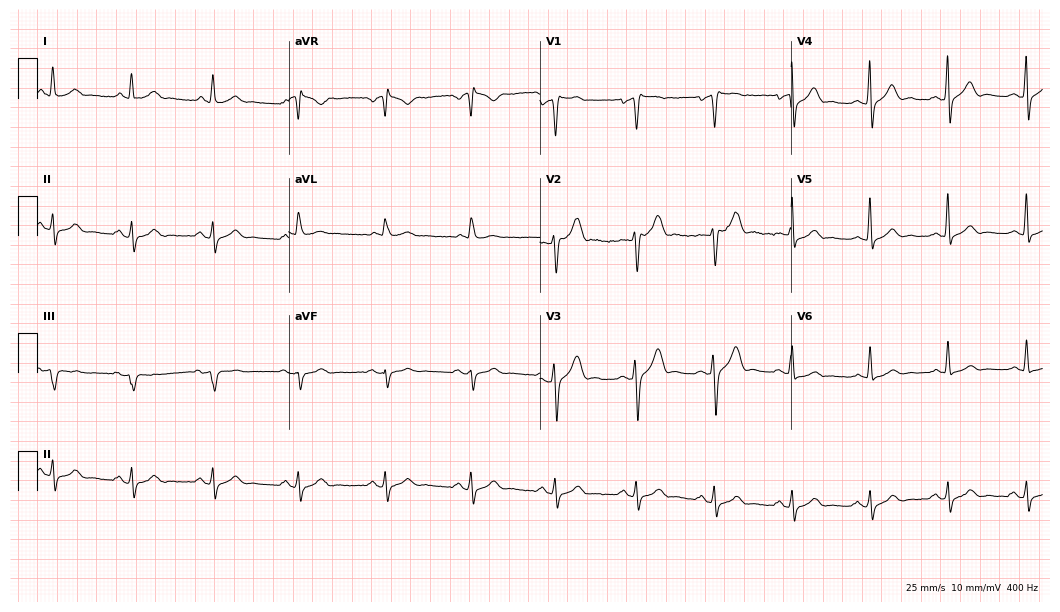
Resting 12-lead electrocardiogram. Patient: a 42-year-old male. Read as a normal ECG.